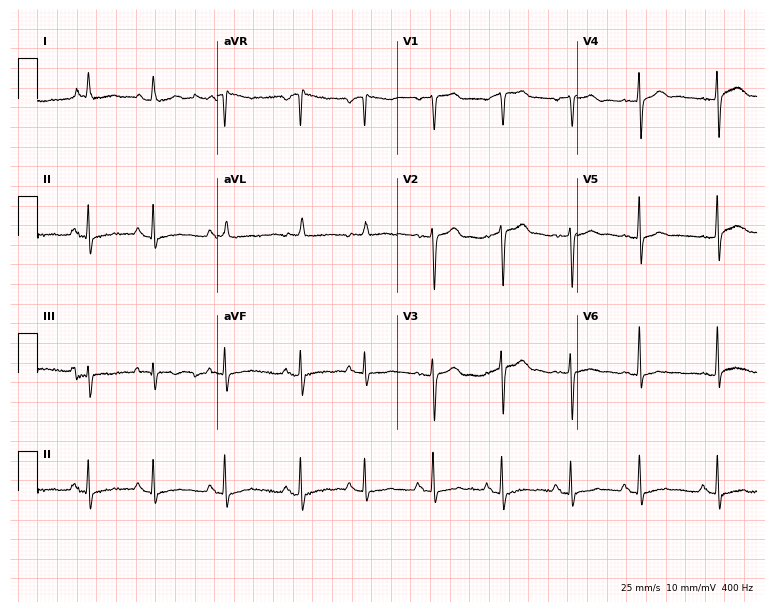
Standard 12-lead ECG recorded from an 83-year-old female patient (7.3-second recording at 400 Hz). Read as a normal ECG.